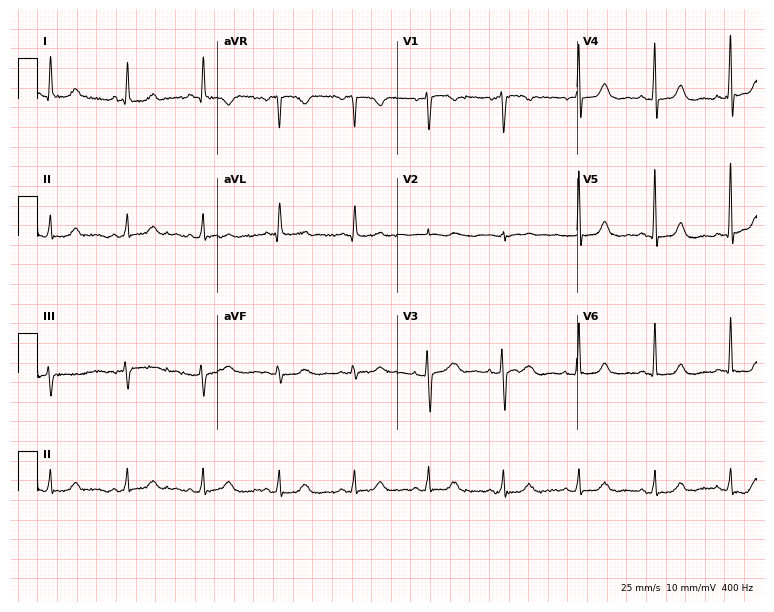
Electrocardiogram, a 68-year-old woman. Overall reading on record: normal ECG.